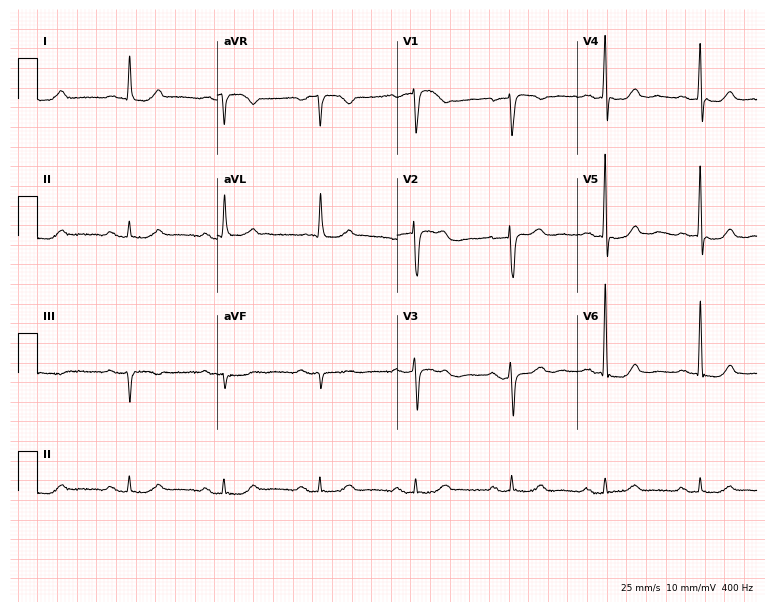
12-lead ECG from an 81-year-old female (7.3-second recording at 400 Hz). Recorded interpretation: within normal limits.